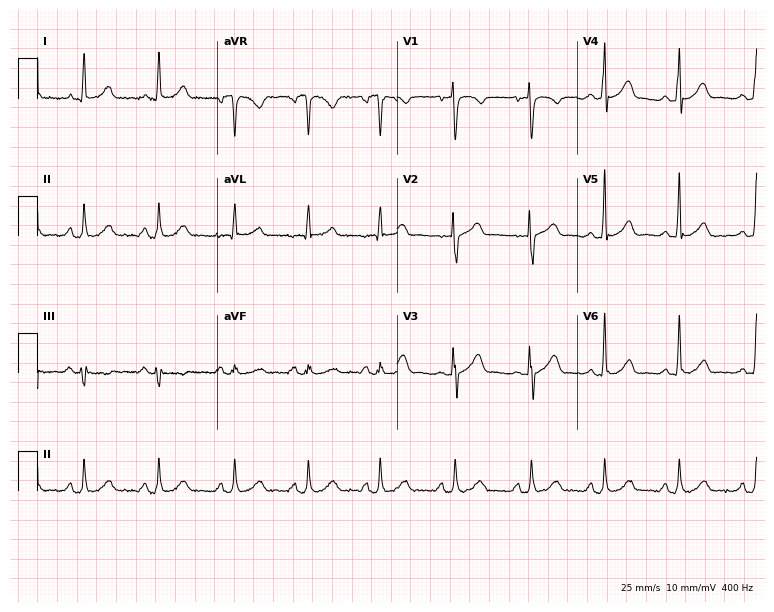
Electrocardiogram (7.3-second recording at 400 Hz), a female patient, 59 years old. Of the six screened findings (first-degree AV block, right bundle branch block, left bundle branch block, sinus bradycardia, atrial fibrillation, sinus tachycardia), none is recorded. Other findings, if any, are not listed.